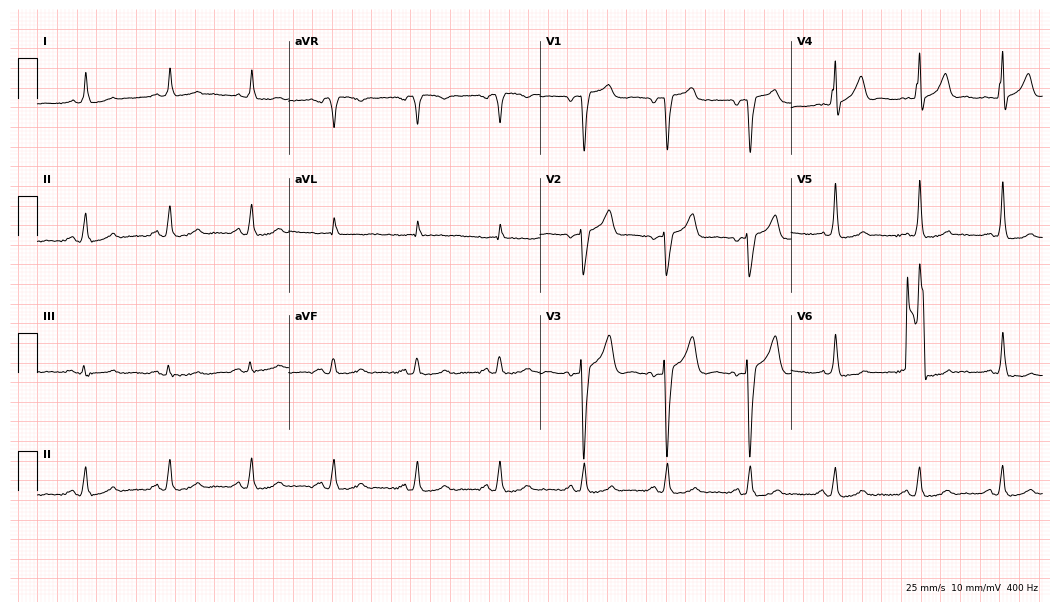
ECG — a 70-year-old male patient. Screened for six findings — first-degree AV block, right bundle branch block, left bundle branch block, sinus bradycardia, atrial fibrillation, sinus tachycardia — none is recorded. Only these six findings were labelled.